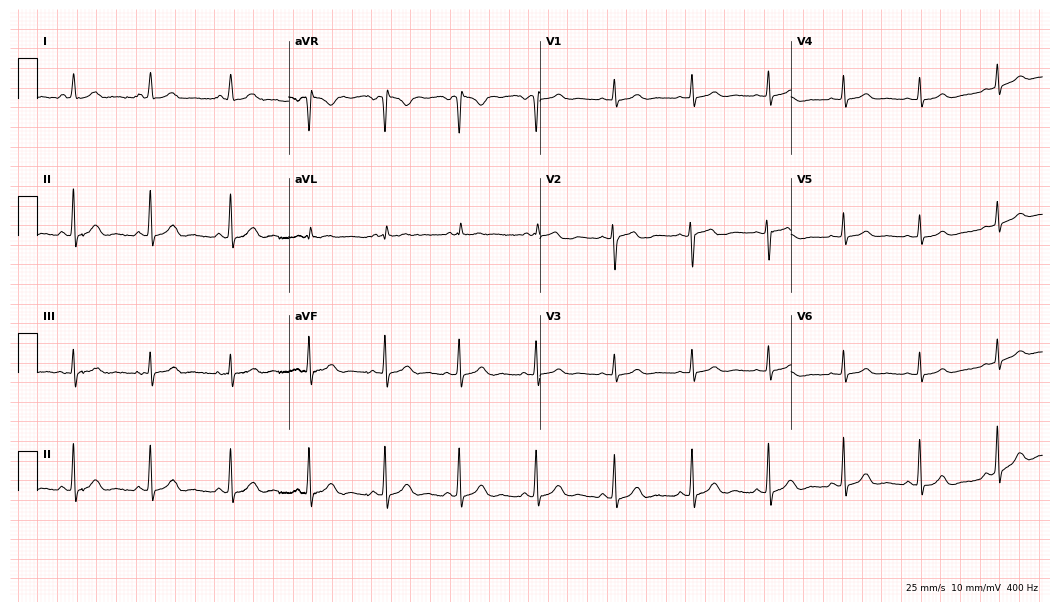
Electrocardiogram, a 23-year-old female patient. Overall reading on record: normal ECG.